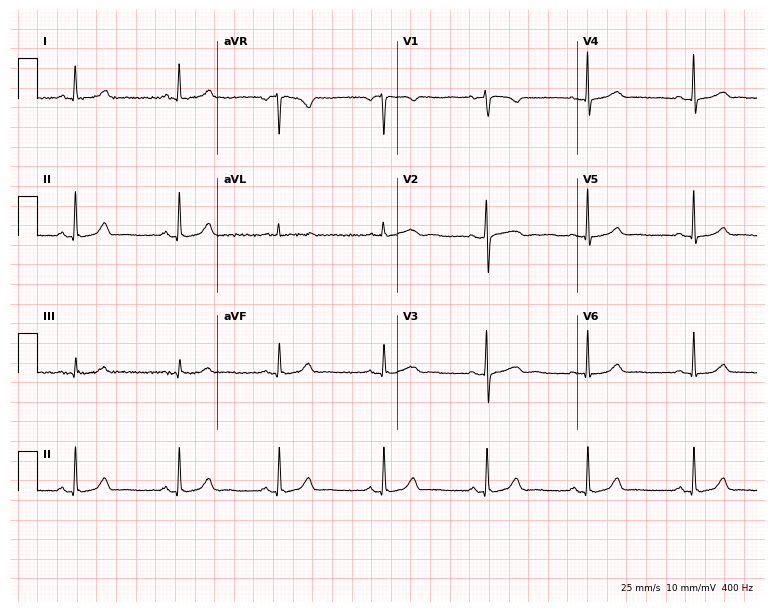
12-lead ECG from a female patient, 40 years old. Recorded interpretation: within normal limits.